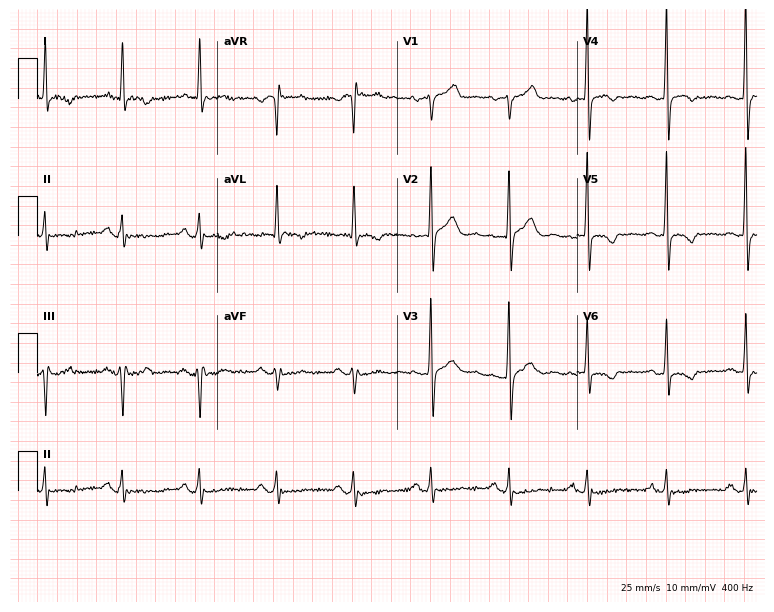
Electrocardiogram (7.3-second recording at 400 Hz), a male patient, 73 years old. Of the six screened findings (first-degree AV block, right bundle branch block, left bundle branch block, sinus bradycardia, atrial fibrillation, sinus tachycardia), none is recorded.